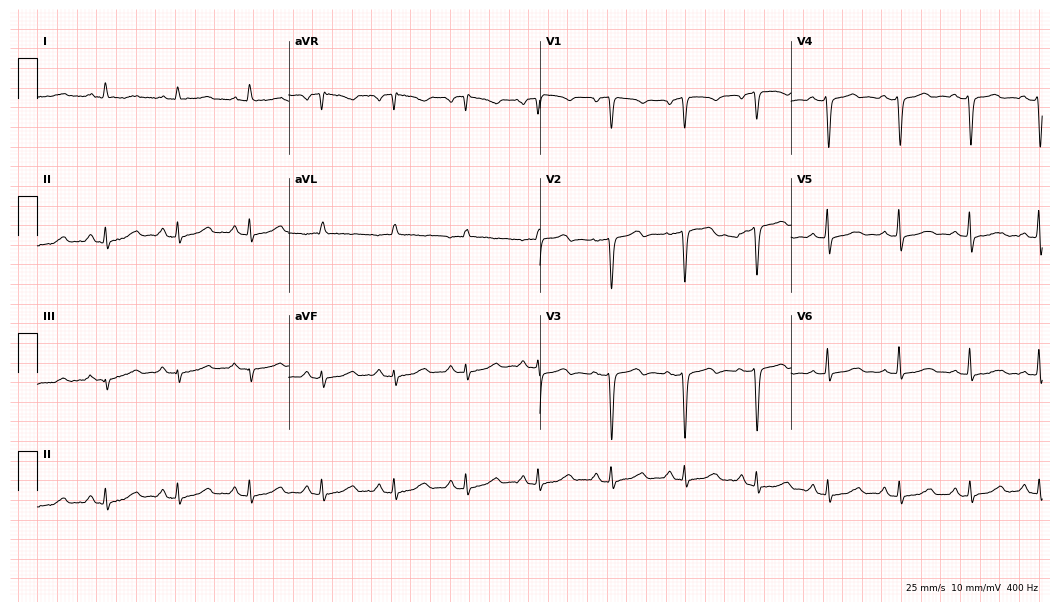
ECG — a female, 58 years old. Screened for six findings — first-degree AV block, right bundle branch block (RBBB), left bundle branch block (LBBB), sinus bradycardia, atrial fibrillation (AF), sinus tachycardia — none is recorded. Other findings, if any, are not listed.